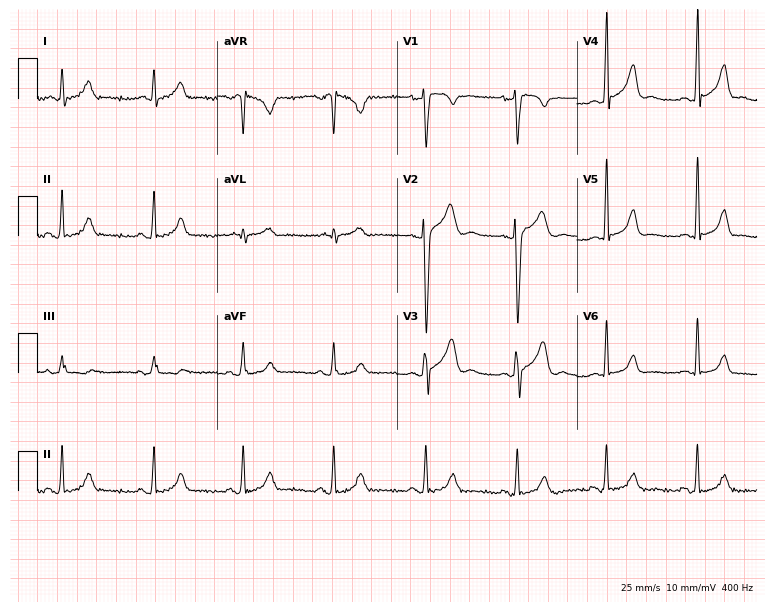
ECG (7.3-second recording at 400 Hz) — a 41-year-old male. Labelled as a normal ECG.